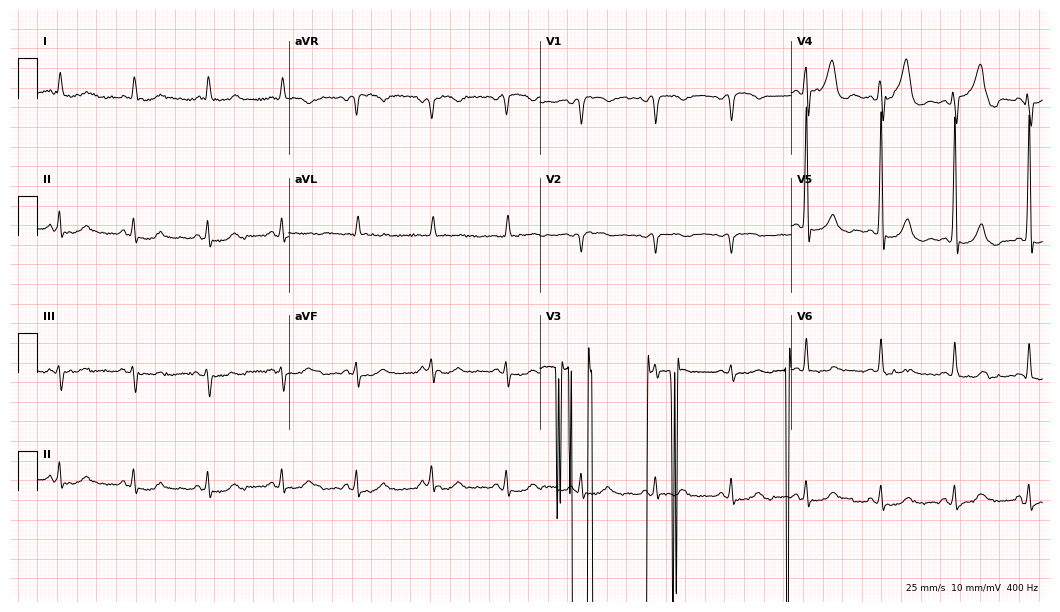
Electrocardiogram, an 83-year-old man. Of the six screened findings (first-degree AV block, right bundle branch block, left bundle branch block, sinus bradycardia, atrial fibrillation, sinus tachycardia), none is recorded.